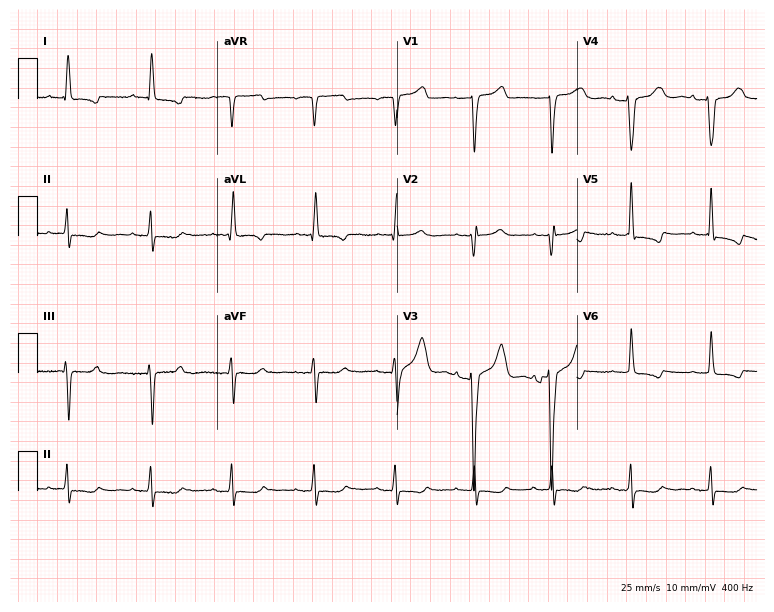
Electrocardiogram, a 73-year-old female. Of the six screened findings (first-degree AV block, right bundle branch block, left bundle branch block, sinus bradycardia, atrial fibrillation, sinus tachycardia), none is recorded. Only these six findings were labelled.